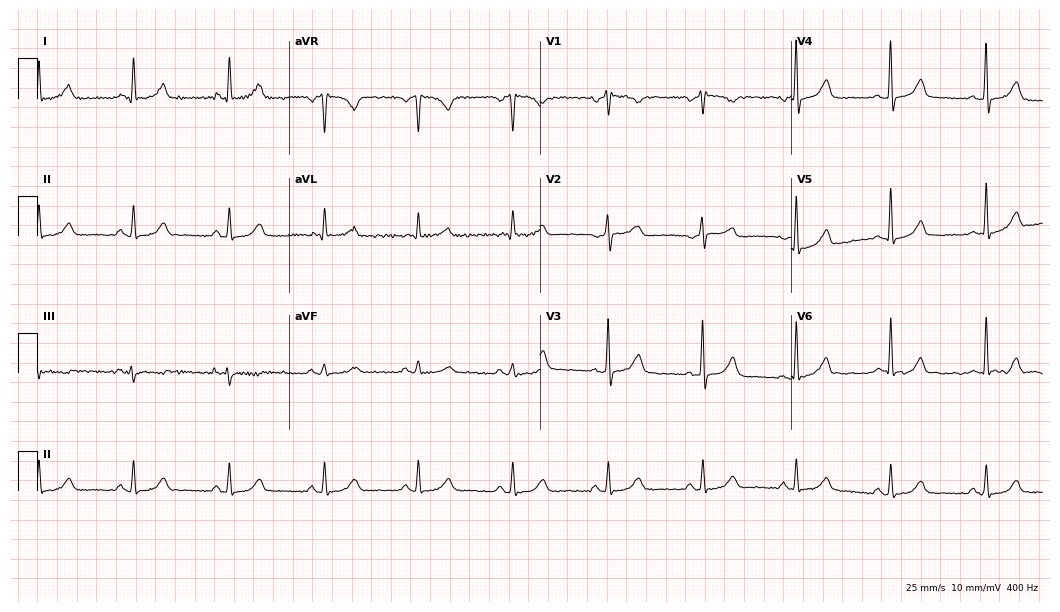
12-lead ECG from a 60-year-old female. Labelled as a normal ECG.